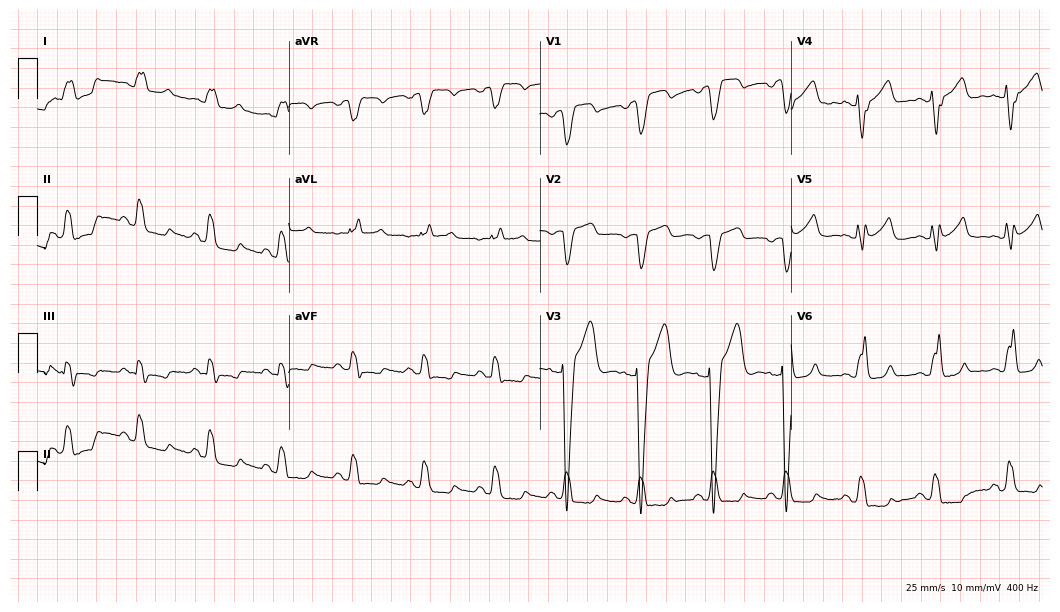
12-lead ECG from a male, 64 years old. Findings include left bundle branch block.